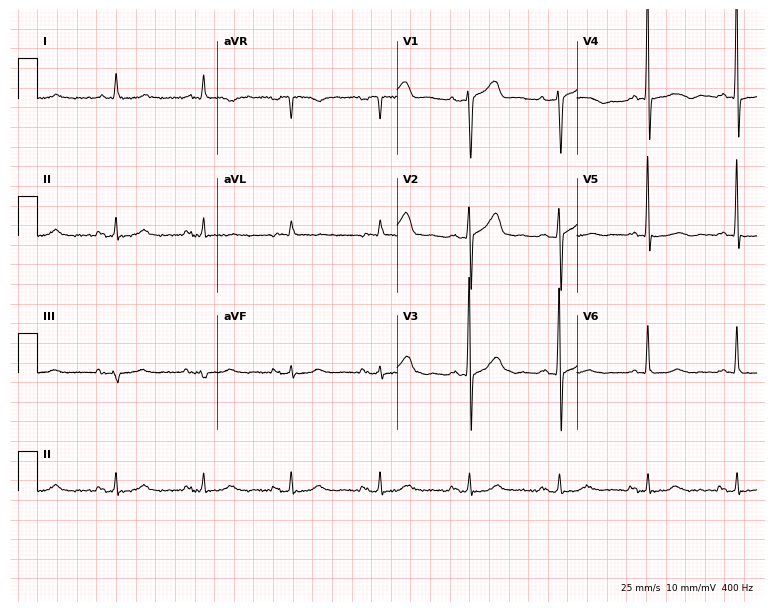
ECG (7.3-second recording at 400 Hz) — a 68-year-old man. Screened for six findings — first-degree AV block, right bundle branch block, left bundle branch block, sinus bradycardia, atrial fibrillation, sinus tachycardia — none is recorded. Findings outside these six are not listed.